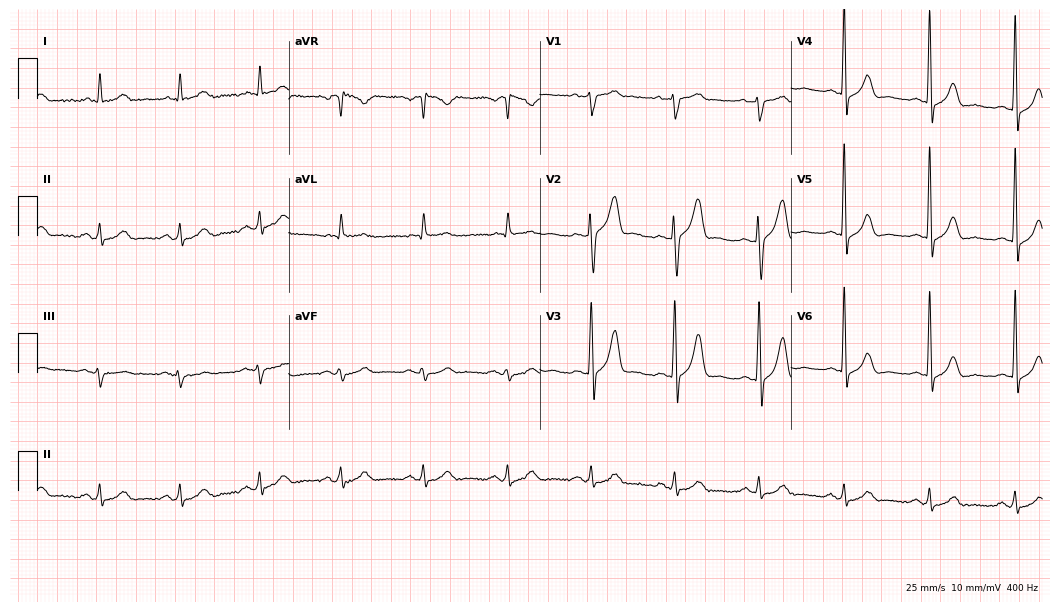
12-lead ECG from a man, 73 years old (10.2-second recording at 400 Hz). Recorded interpretation: within normal limits.